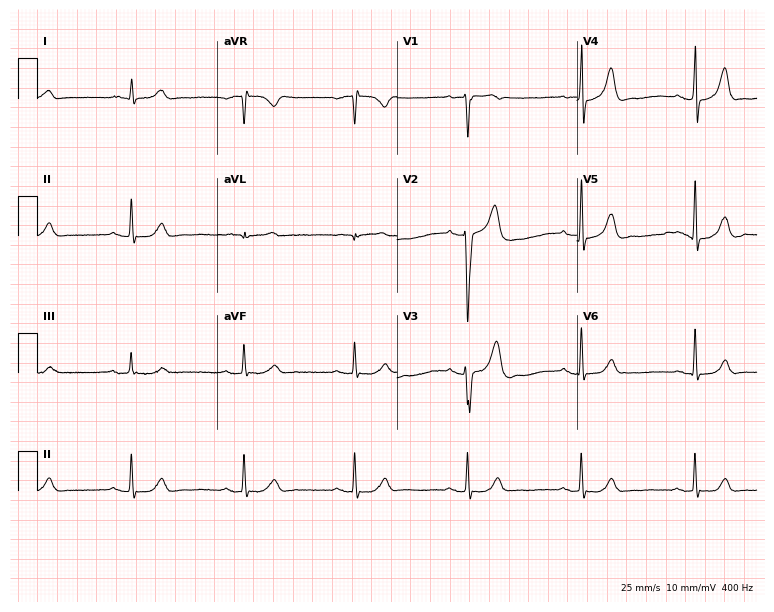
Standard 12-lead ECG recorded from a 63-year-old male patient (7.3-second recording at 400 Hz). Read as a normal ECG.